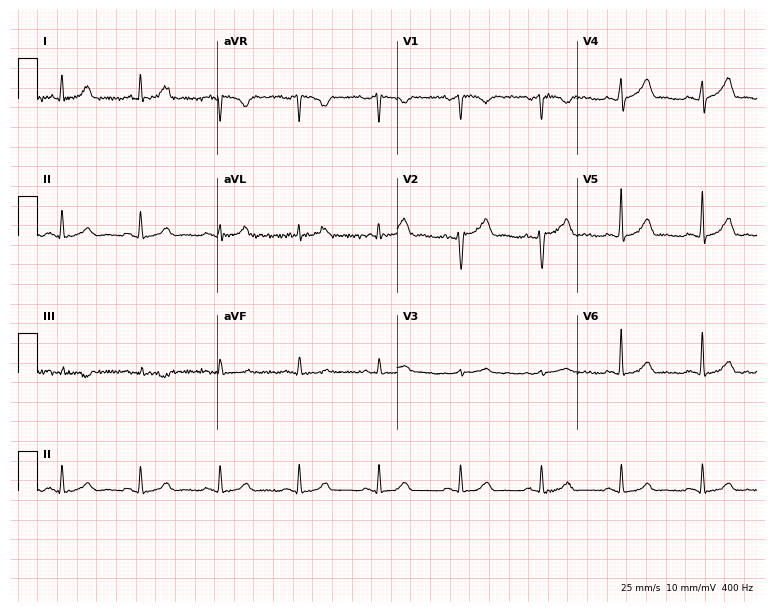
ECG — a male, 65 years old. Screened for six findings — first-degree AV block, right bundle branch block, left bundle branch block, sinus bradycardia, atrial fibrillation, sinus tachycardia — none is recorded.